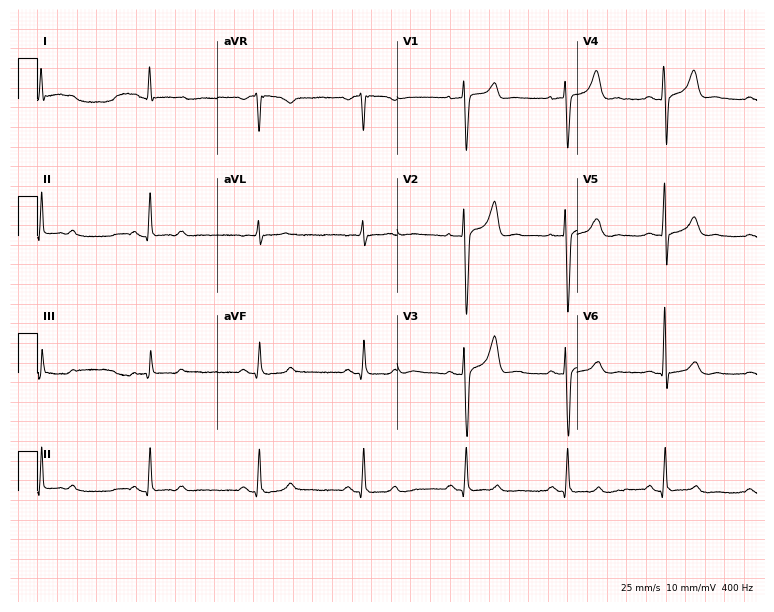
ECG (7.3-second recording at 400 Hz) — a male patient, 47 years old. Screened for six findings — first-degree AV block, right bundle branch block, left bundle branch block, sinus bradycardia, atrial fibrillation, sinus tachycardia — none is recorded.